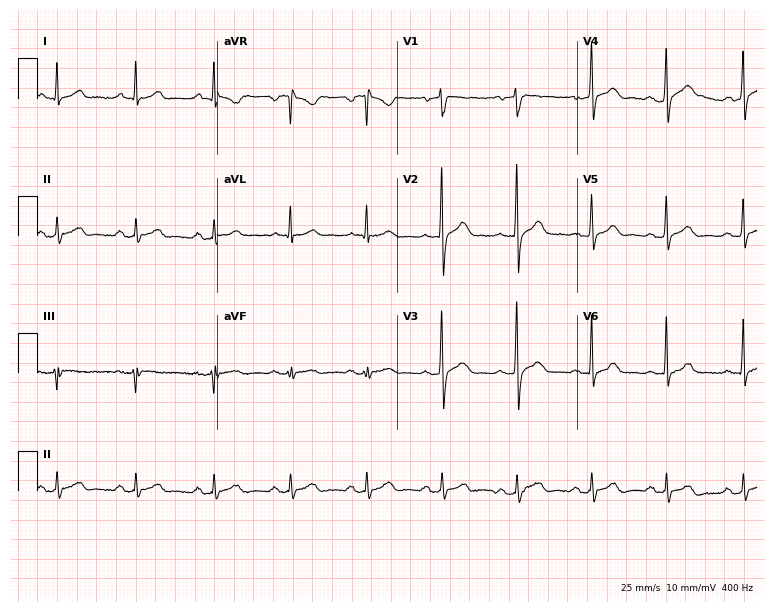
ECG — a male patient, 54 years old. Labelled as a normal ECG.